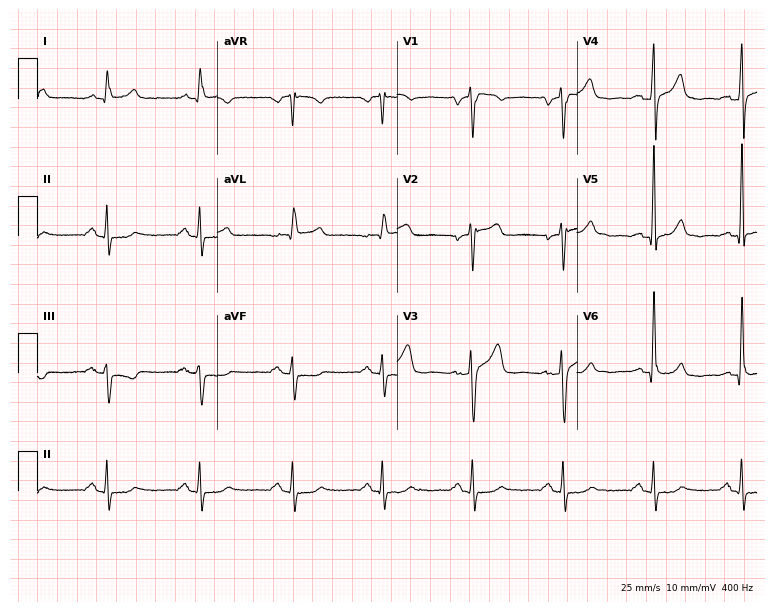
Resting 12-lead electrocardiogram (7.3-second recording at 400 Hz). Patient: a man, 59 years old. None of these six findings is recorded: first-degree AV block, right bundle branch block, left bundle branch block, sinus bradycardia, atrial fibrillation, sinus tachycardia. Other findings, if any, are not listed.